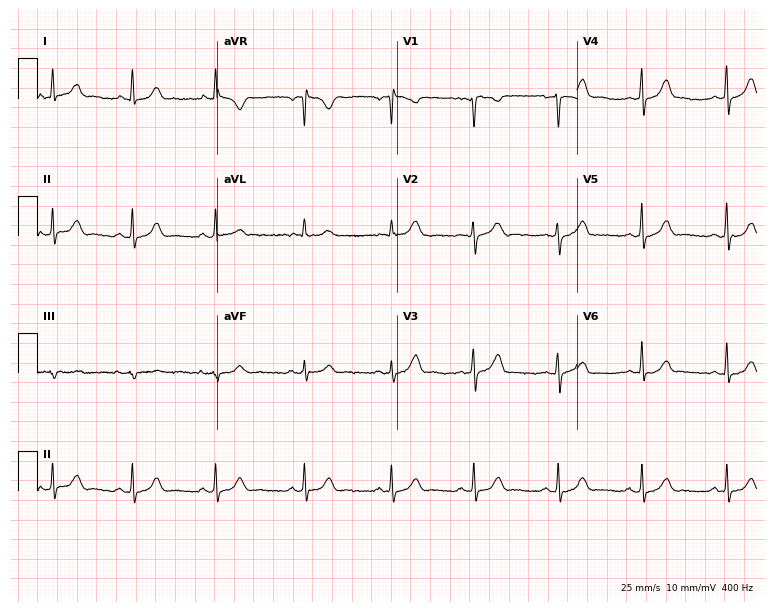
ECG — a female, 30 years old. Labelled as a normal ECG.